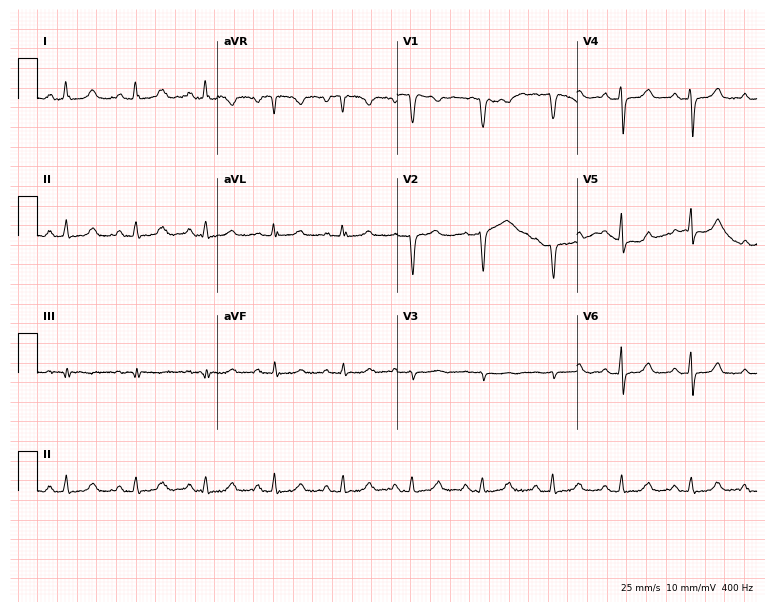
Electrocardiogram (7.3-second recording at 400 Hz), a woman, 81 years old. Of the six screened findings (first-degree AV block, right bundle branch block (RBBB), left bundle branch block (LBBB), sinus bradycardia, atrial fibrillation (AF), sinus tachycardia), none is recorded.